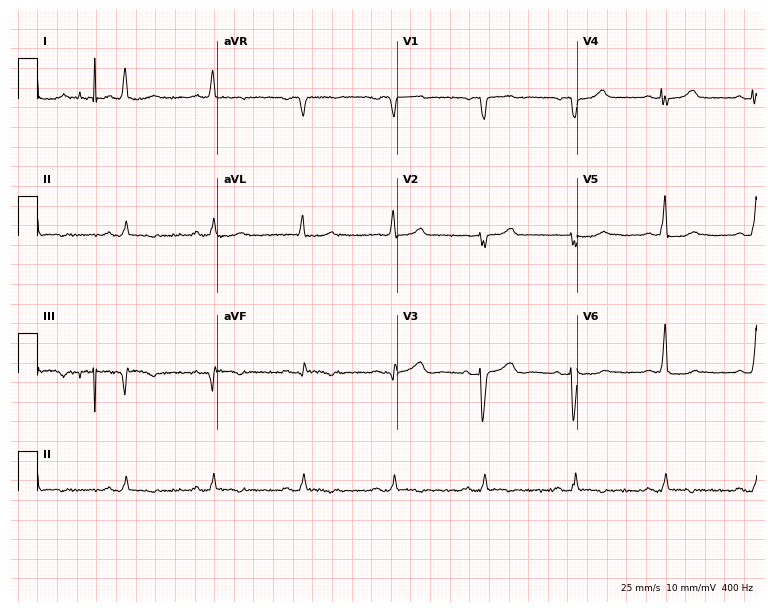
Resting 12-lead electrocardiogram. Patient: a 76-year-old female. None of these six findings is recorded: first-degree AV block, right bundle branch block, left bundle branch block, sinus bradycardia, atrial fibrillation, sinus tachycardia.